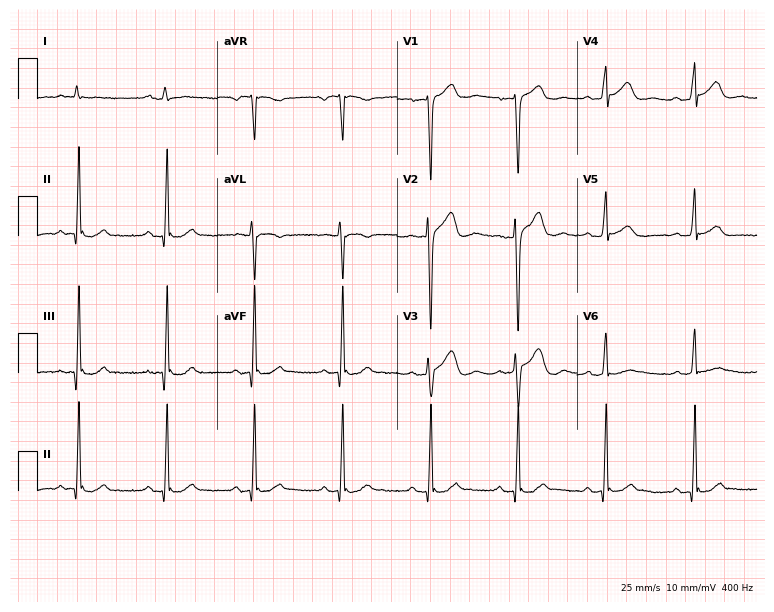
12-lead ECG (7.3-second recording at 400 Hz) from a 60-year-old male. Screened for six findings — first-degree AV block, right bundle branch block, left bundle branch block, sinus bradycardia, atrial fibrillation, sinus tachycardia — none is recorded. Only these six findings were labelled.